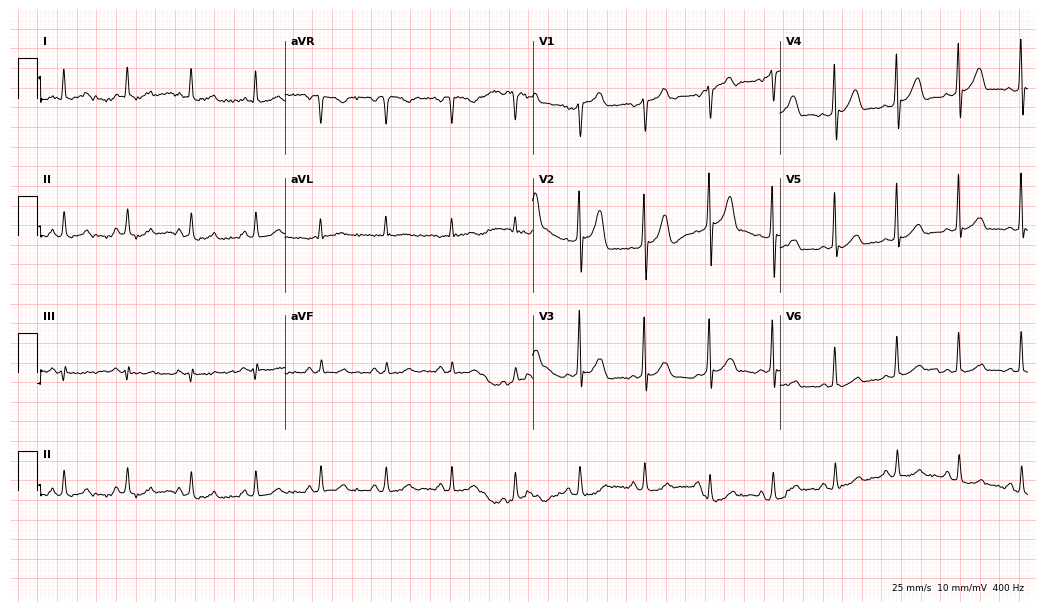
12-lead ECG from a male, 69 years old (10.1-second recording at 400 Hz). No first-degree AV block, right bundle branch block, left bundle branch block, sinus bradycardia, atrial fibrillation or sinus tachycardia recorded for this tracing. Findings outside these six are not listed.